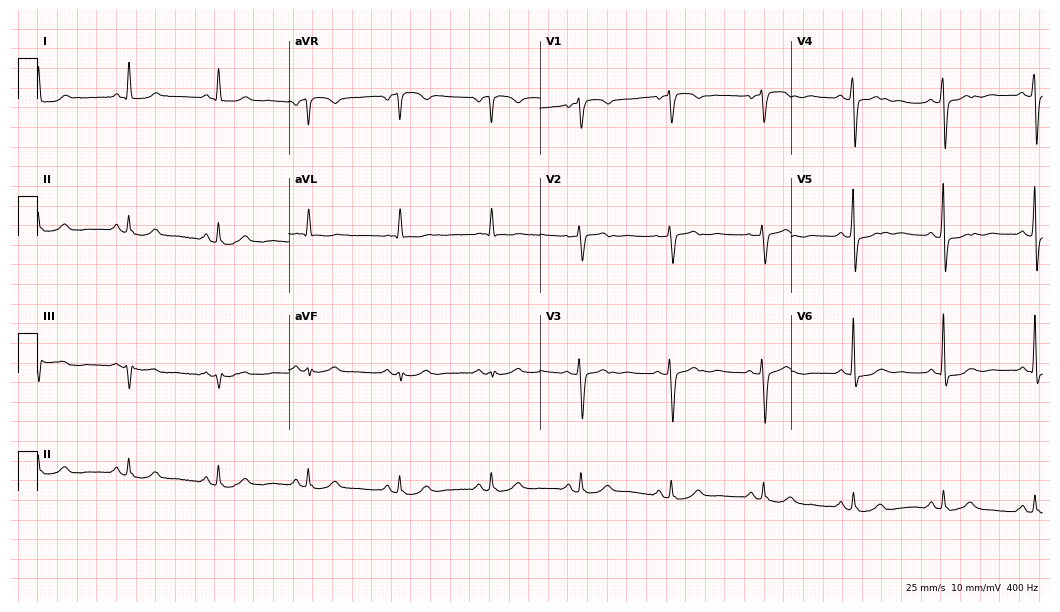
12-lead ECG from a 75-year-old female (10.2-second recording at 400 Hz). Recorded interpretation: within normal limits.